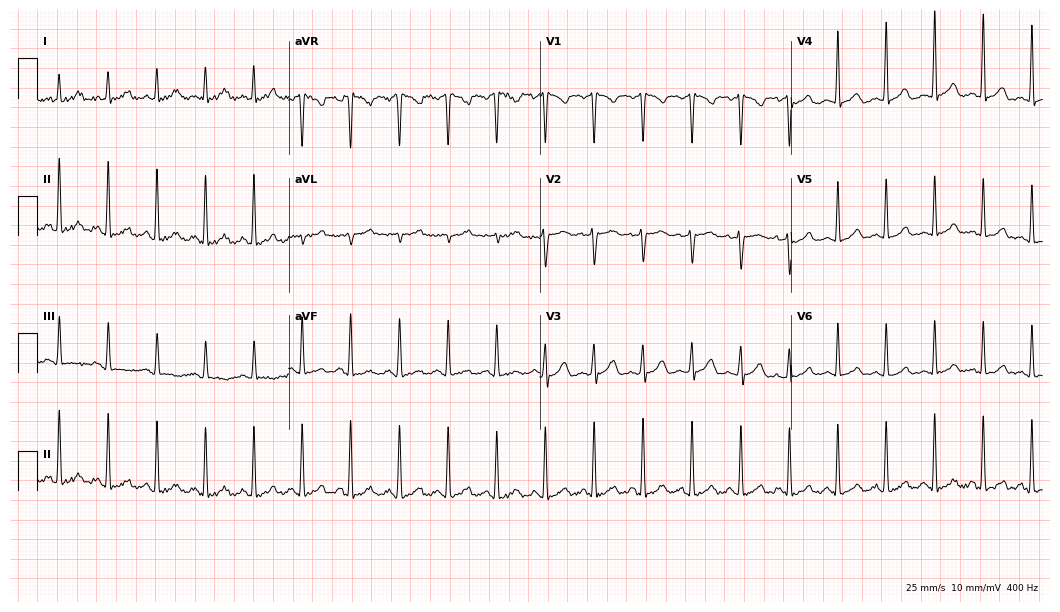
ECG (10.2-second recording at 400 Hz) — a 29-year-old female. Findings include sinus tachycardia (a sinus rate of 100 beats per minute or more).